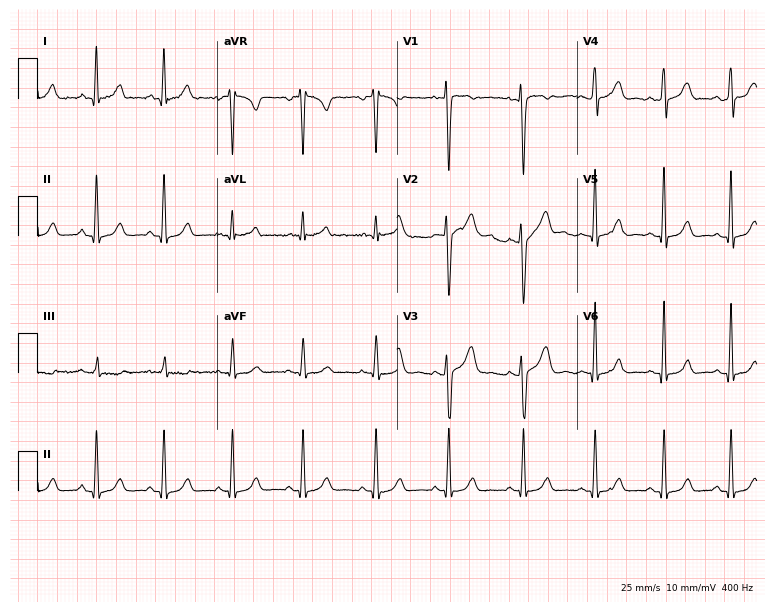
12-lead ECG from a 31-year-old female (7.3-second recording at 400 Hz). Recorded interpretation: within normal limits.